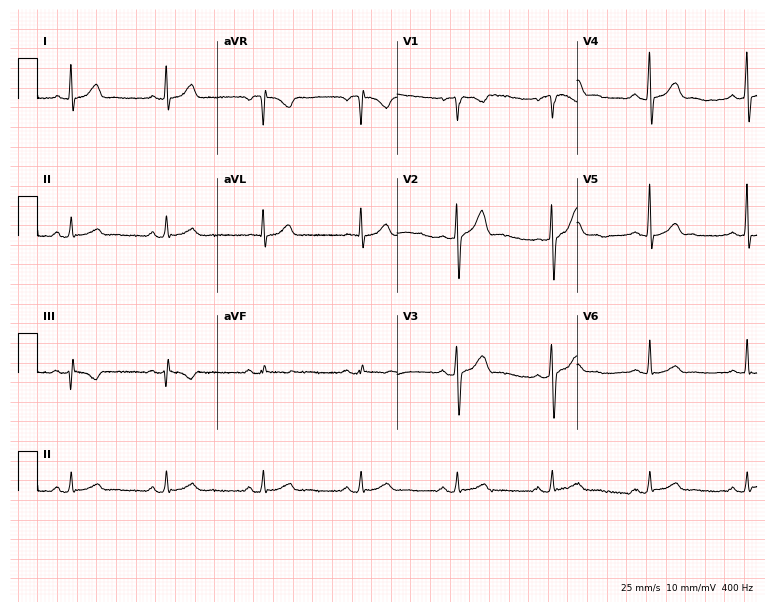
Standard 12-lead ECG recorded from a male, 40 years old (7.3-second recording at 400 Hz). Read as a normal ECG.